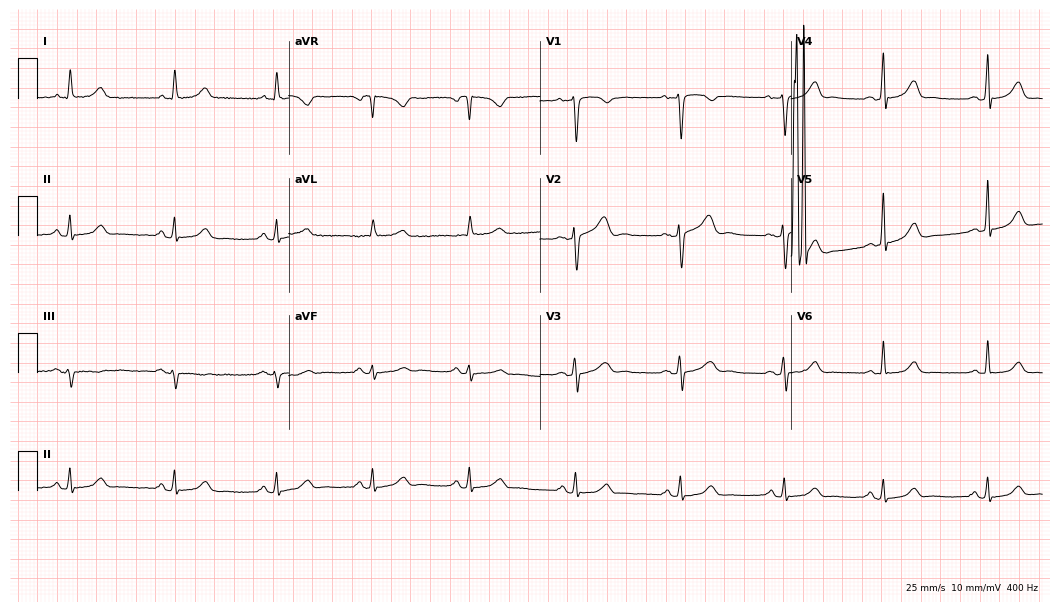
Standard 12-lead ECG recorded from a female patient, 41 years old. None of these six findings is recorded: first-degree AV block, right bundle branch block, left bundle branch block, sinus bradycardia, atrial fibrillation, sinus tachycardia. Other findings, if any, are not listed.